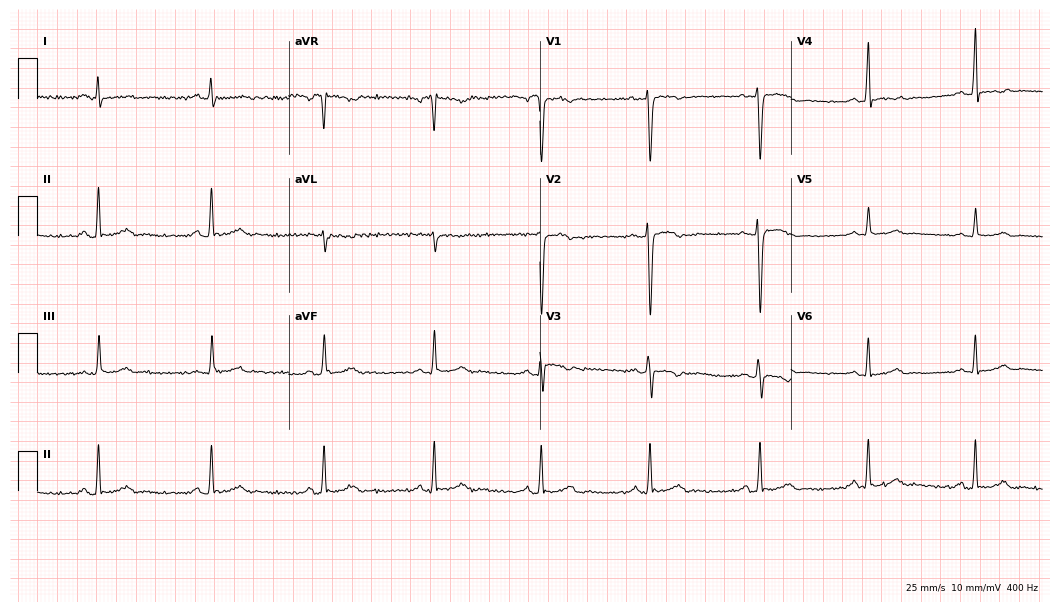
Resting 12-lead electrocardiogram. Patient: a 48-year-old man. None of these six findings is recorded: first-degree AV block, right bundle branch block, left bundle branch block, sinus bradycardia, atrial fibrillation, sinus tachycardia.